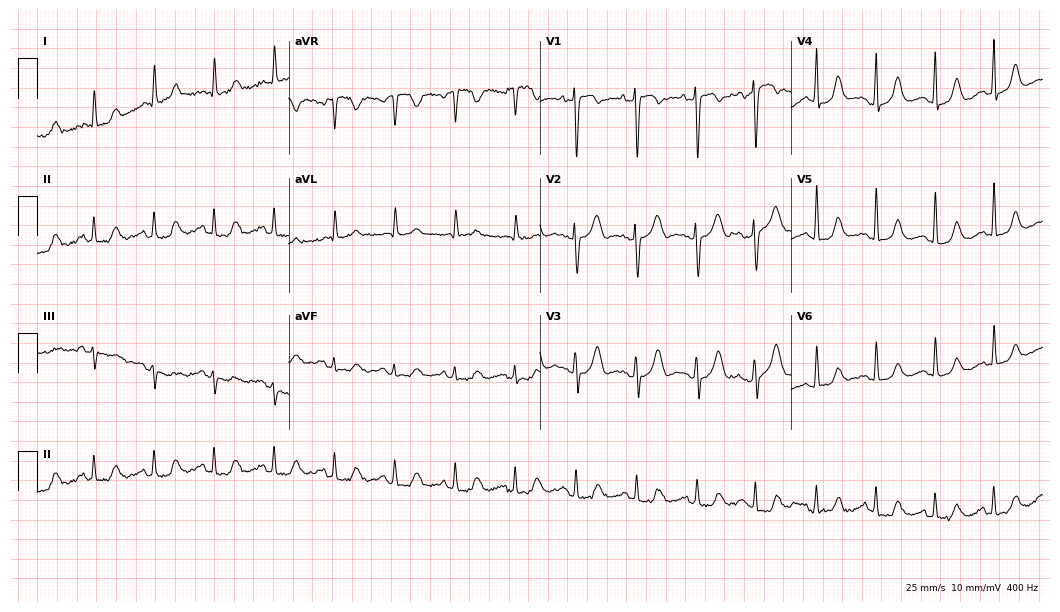
12-lead ECG from an 81-year-old male (10.2-second recording at 400 Hz). No first-degree AV block, right bundle branch block (RBBB), left bundle branch block (LBBB), sinus bradycardia, atrial fibrillation (AF) or sinus tachycardia recorded for this tracing. Only these six findings were labelled.